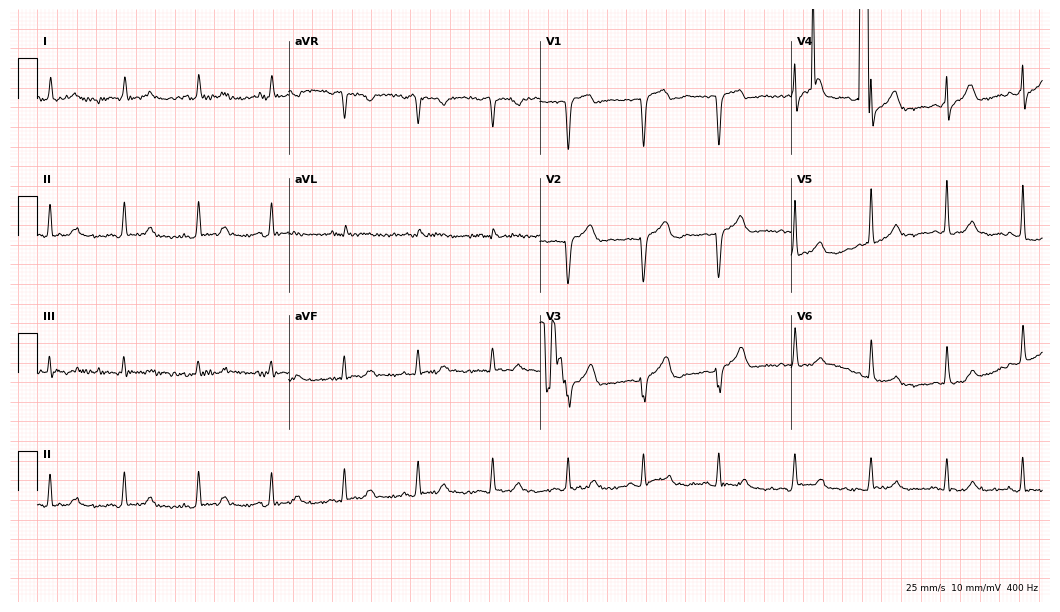
ECG (10.2-second recording at 400 Hz) — a 61-year-old man. Screened for six findings — first-degree AV block, right bundle branch block, left bundle branch block, sinus bradycardia, atrial fibrillation, sinus tachycardia — none is recorded.